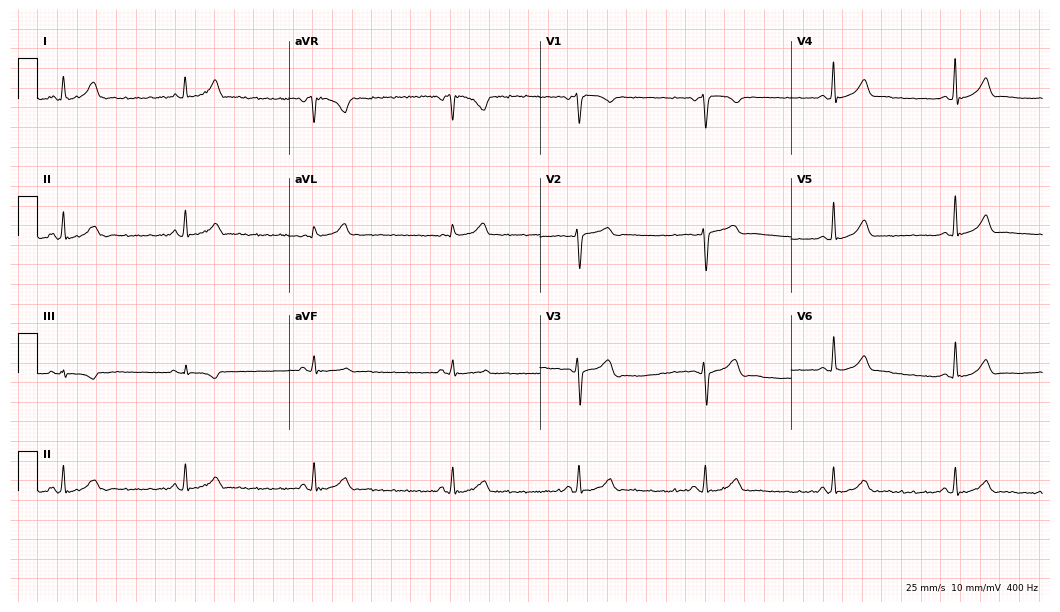
12-lead ECG from a 37-year-old female patient. Findings include sinus bradycardia (a sinus rate of 50 beats per minute or less).